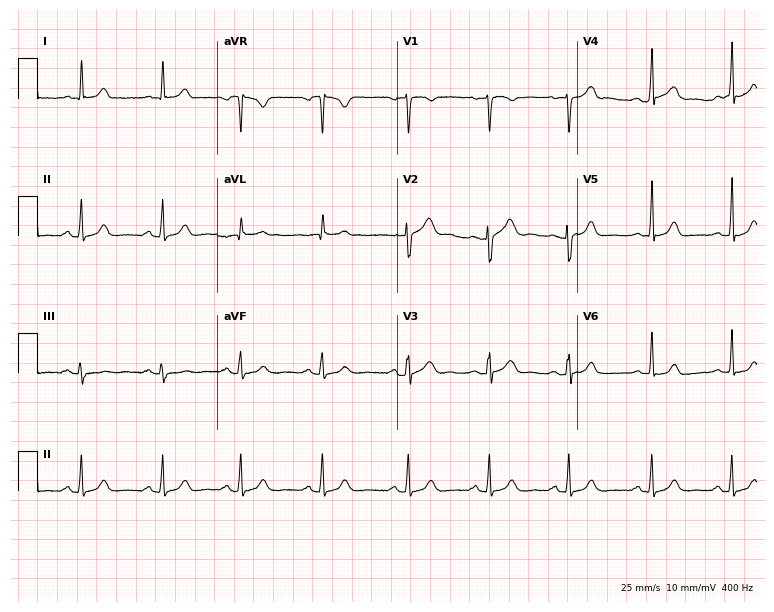
Resting 12-lead electrocardiogram. Patient: a 33-year-old woman. Read as a normal ECG.